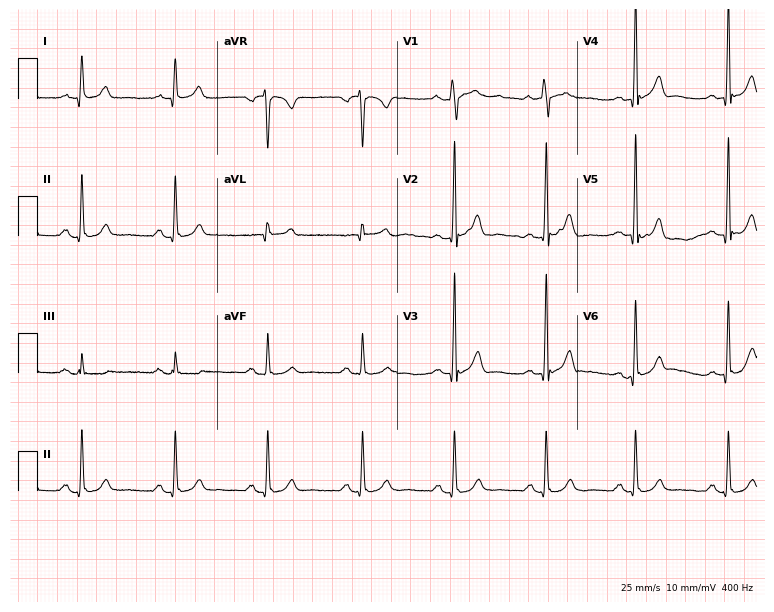
Electrocardiogram, a 49-year-old man. Overall reading on record: normal ECG.